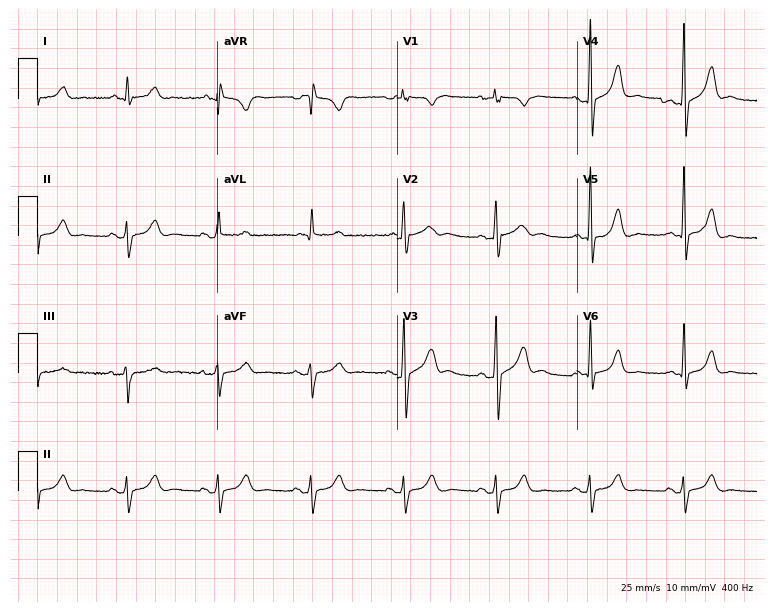
12-lead ECG (7.3-second recording at 400 Hz) from a man, 58 years old. Screened for six findings — first-degree AV block, right bundle branch block, left bundle branch block, sinus bradycardia, atrial fibrillation, sinus tachycardia — none is recorded.